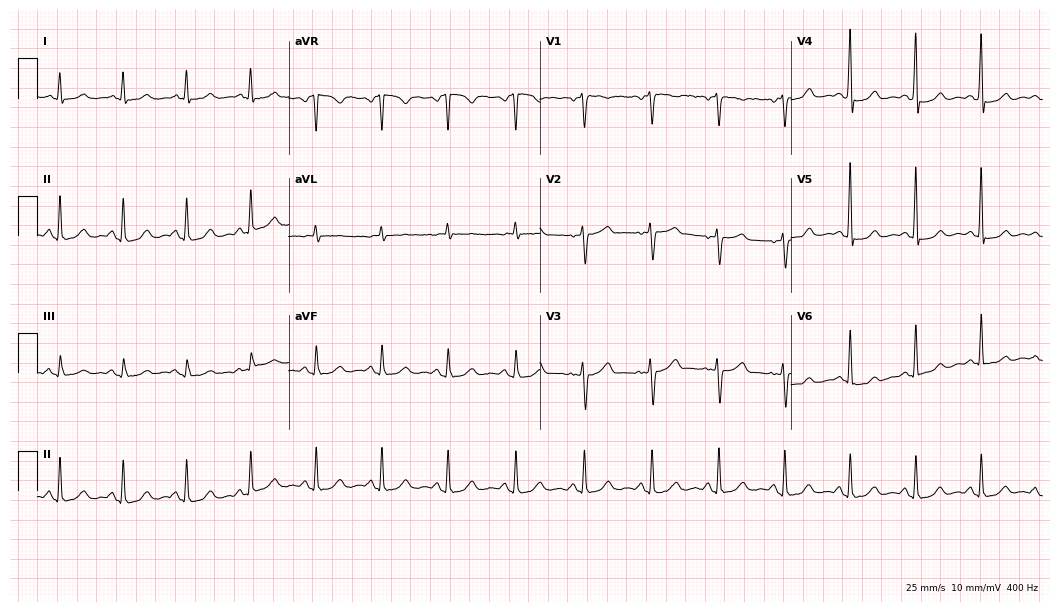
Electrocardiogram (10.2-second recording at 400 Hz), a 53-year-old female. Overall reading on record: normal ECG.